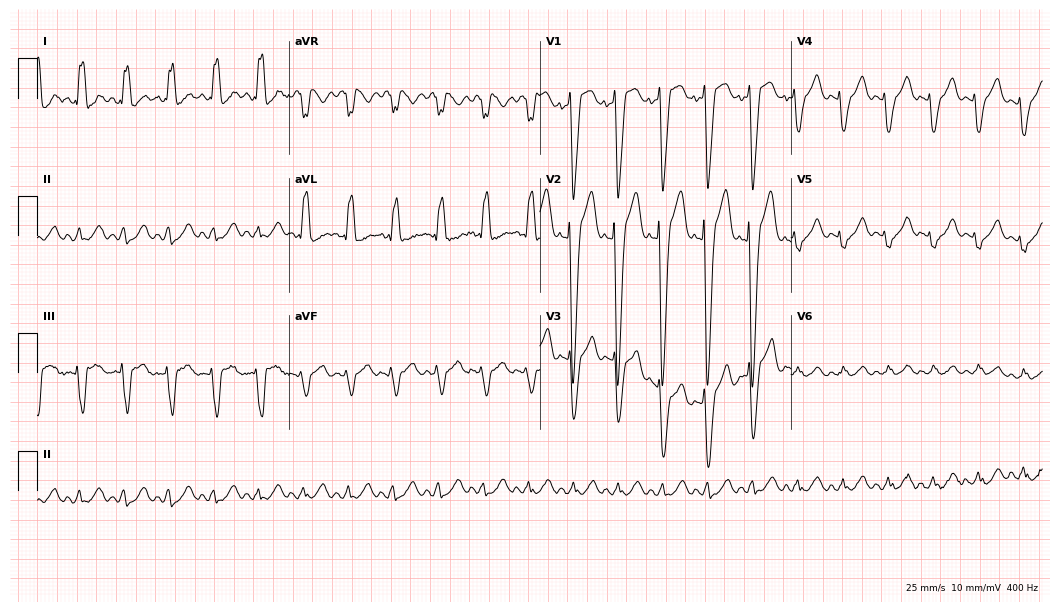
Standard 12-lead ECG recorded from a female, 30 years old (10.2-second recording at 400 Hz). The tracing shows left bundle branch block, sinus tachycardia (a sinus rate of 100 beats per minute or more).